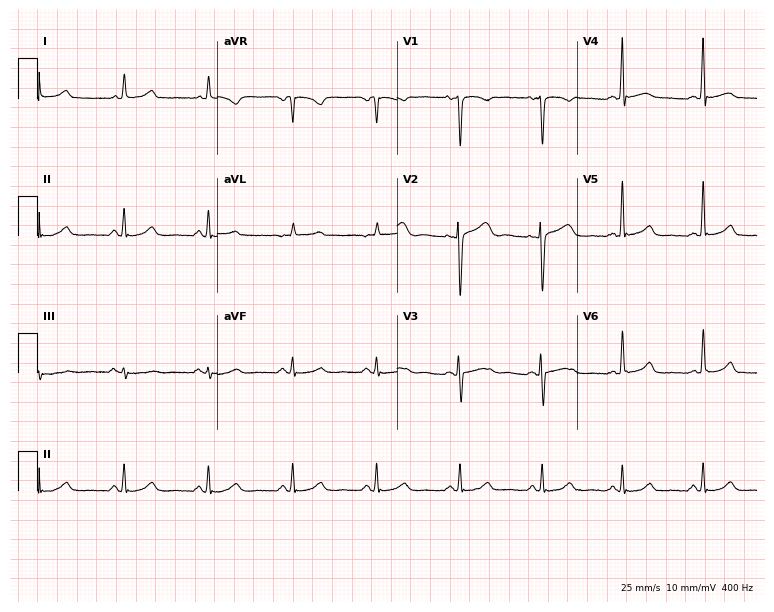
12-lead ECG from a female, 44 years old. Labelled as a normal ECG.